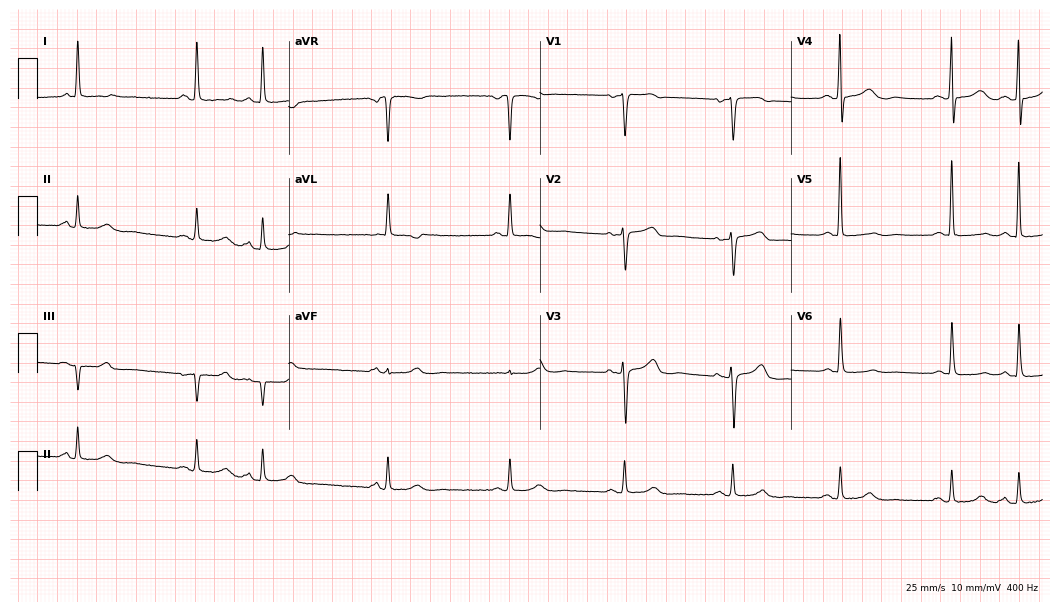
12-lead ECG from a female patient, 78 years old. Screened for six findings — first-degree AV block, right bundle branch block (RBBB), left bundle branch block (LBBB), sinus bradycardia, atrial fibrillation (AF), sinus tachycardia — none is recorded. Other findings, if any, are not listed.